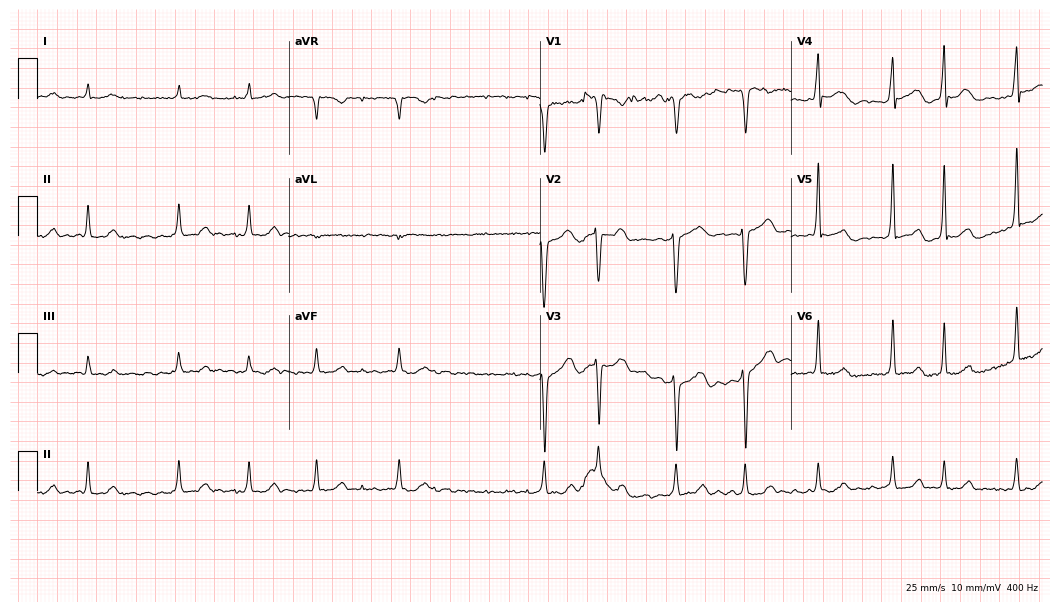
Resting 12-lead electrocardiogram. Patient: a man, 44 years old. None of these six findings is recorded: first-degree AV block, right bundle branch block (RBBB), left bundle branch block (LBBB), sinus bradycardia, atrial fibrillation (AF), sinus tachycardia. Only these six findings were labelled.